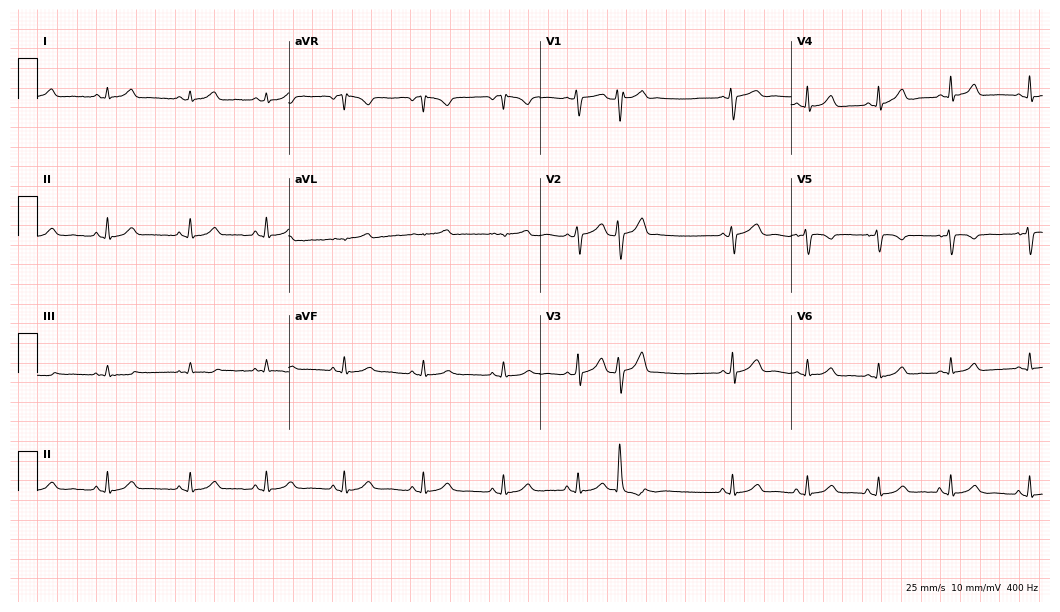
12-lead ECG (10.2-second recording at 400 Hz) from a man, 27 years old. Screened for six findings — first-degree AV block, right bundle branch block, left bundle branch block, sinus bradycardia, atrial fibrillation, sinus tachycardia — none is recorded.